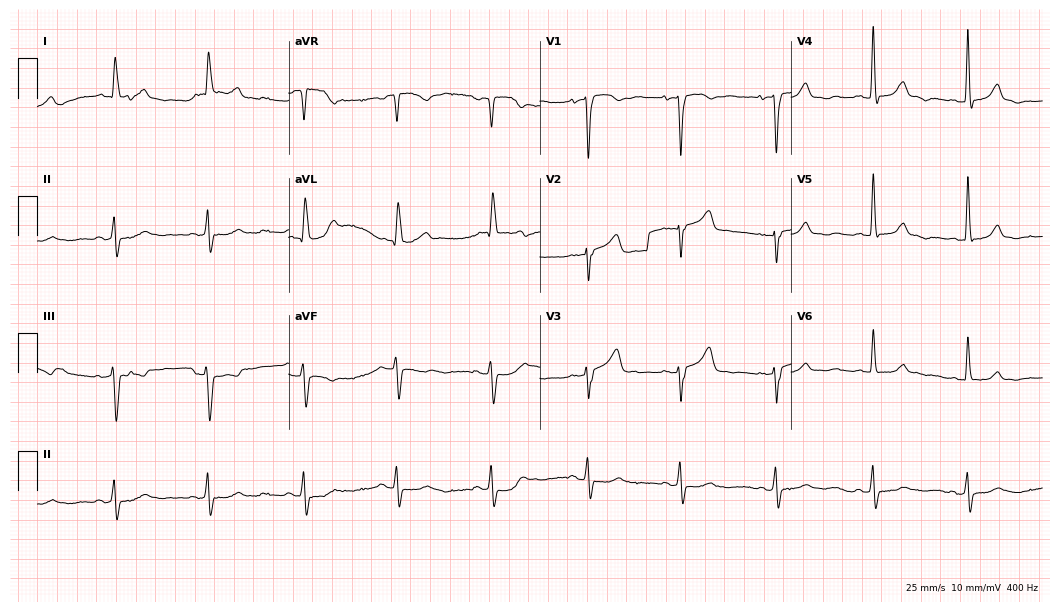
12-lead ECG from a woman, 82 years old (10.2-second recording at 400 Hz). Recorded interpretation: within normal limits.